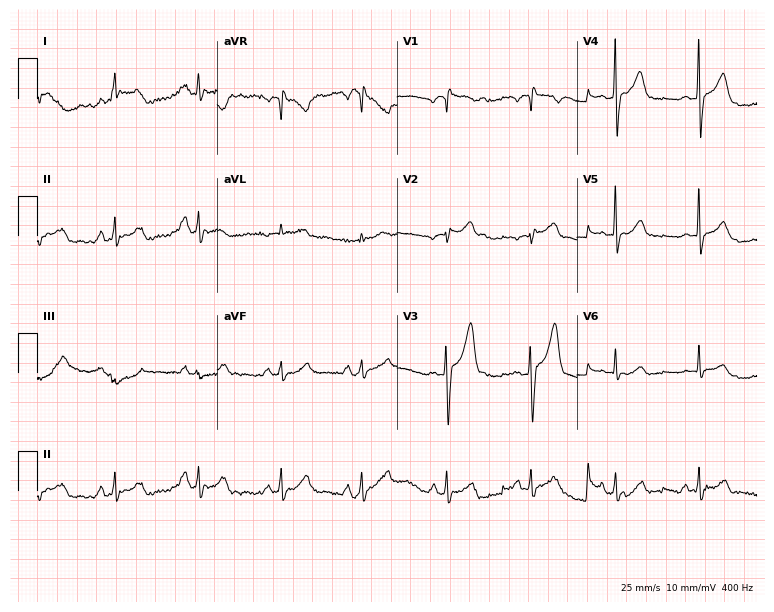
ECG (7.3-second recording at 400 Hz) — a 70-year-old male patient. Screened for six findings — first-degree AV block, right bundle branch block, left bundle branch block, sinus bradycardia, atrial fibrillation, sinus tachycardia — none is recorded.